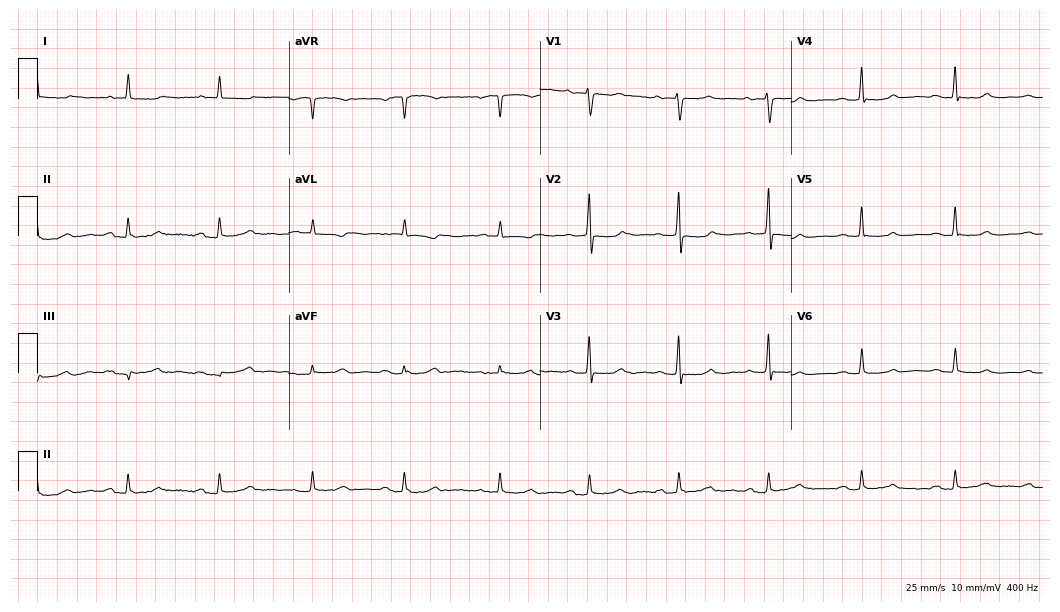
12-lead ECG from a woman, 48 years old. Screened for six findings — first-degree AV block, right bundle branch block (RBBB), left bundle branch block (LBBB), sinus bradycardia, atrial fibrillation (AF), sinus tachycardia — none is recorded.